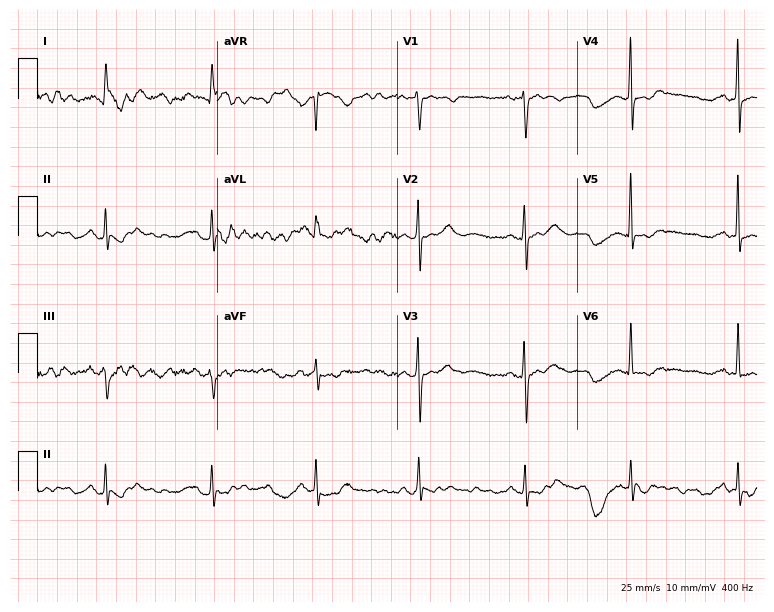
Electrocardiogram (7.3-second recording at 400 Hz), a 72-year-old female patient. Of the six screened findings (first-degree AV block, right bundle branch block (RBBB), left bundle branch block (LBBB), sinus bradycardia, atrial fibrillation (AF), sinus tachycardia), none is recorded.